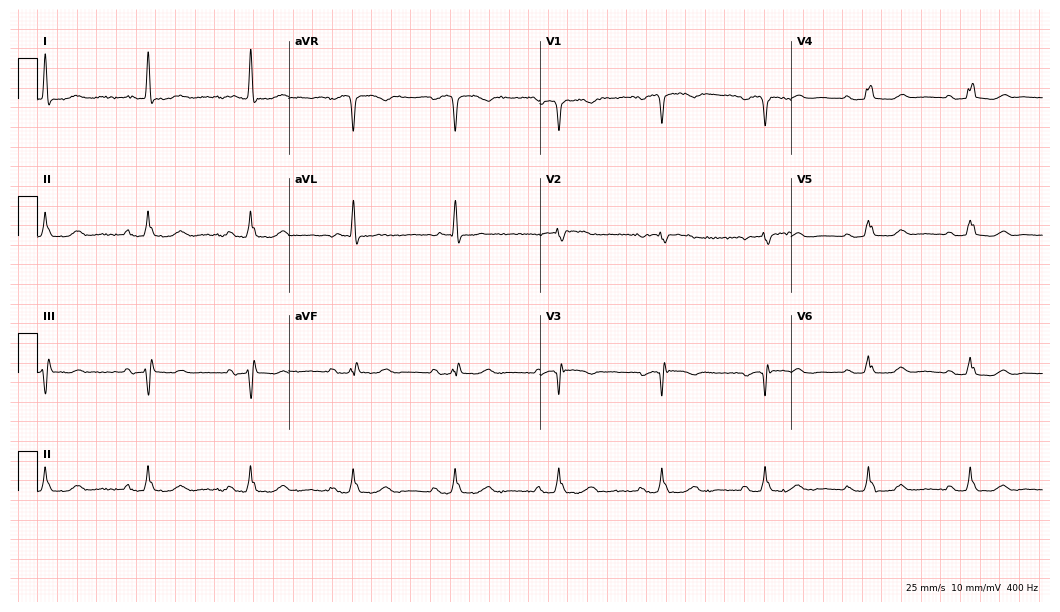
Electrocardiogram, a female, 85 years old. Interpretation includes left bundle branch block.